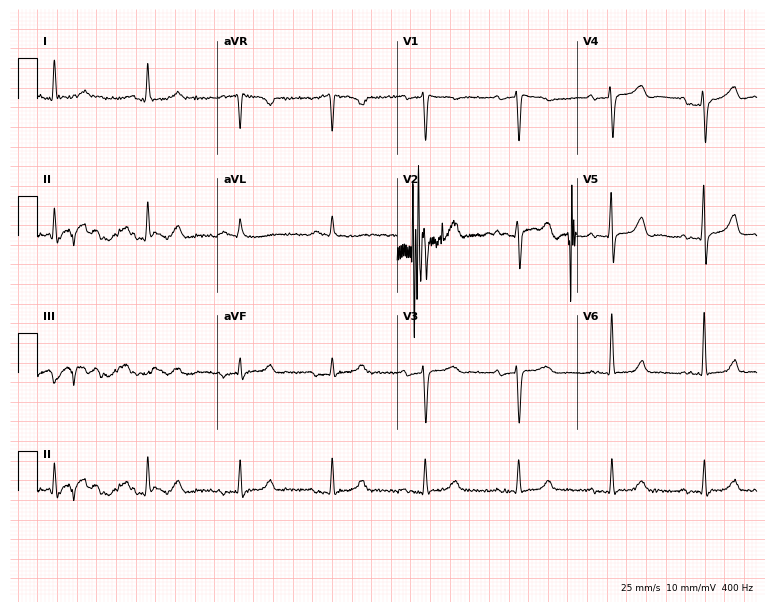
12-lead ECG (7.3-second recording at 400 Hz) from an 82-year-old female. Labelled as a normal ECG.